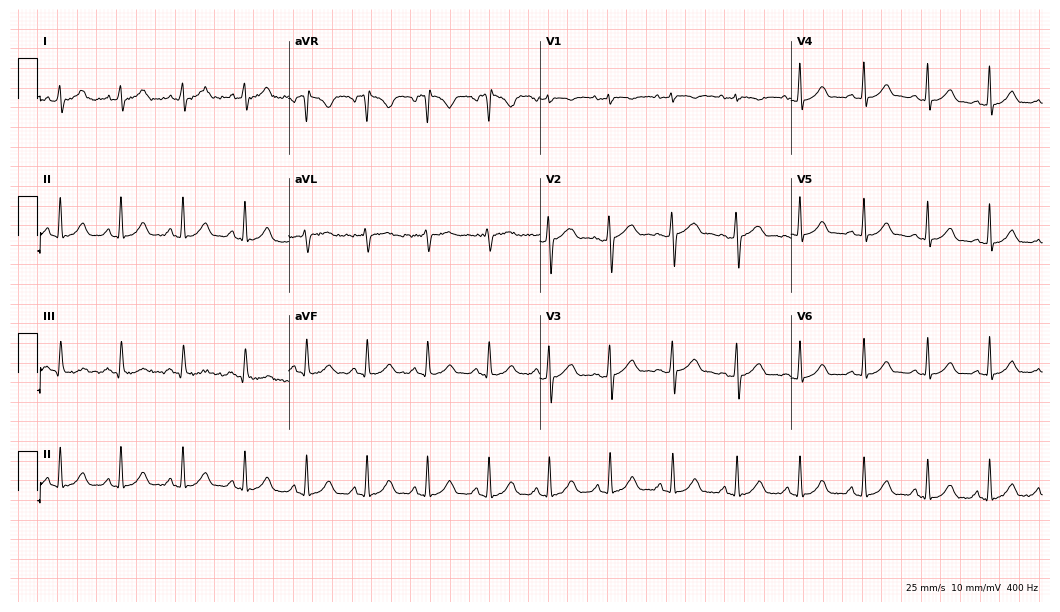
Electrocardiogram, a woman, 24 years old. Of the six screened findings (first-degree AV block, right bundle branch block (RBBB), left bundle branch block (LBBB), sinus bradycardia, atrial fibrillation (AF), sinus tachycardia), none is recorded. Other findings, if any, are not listed.